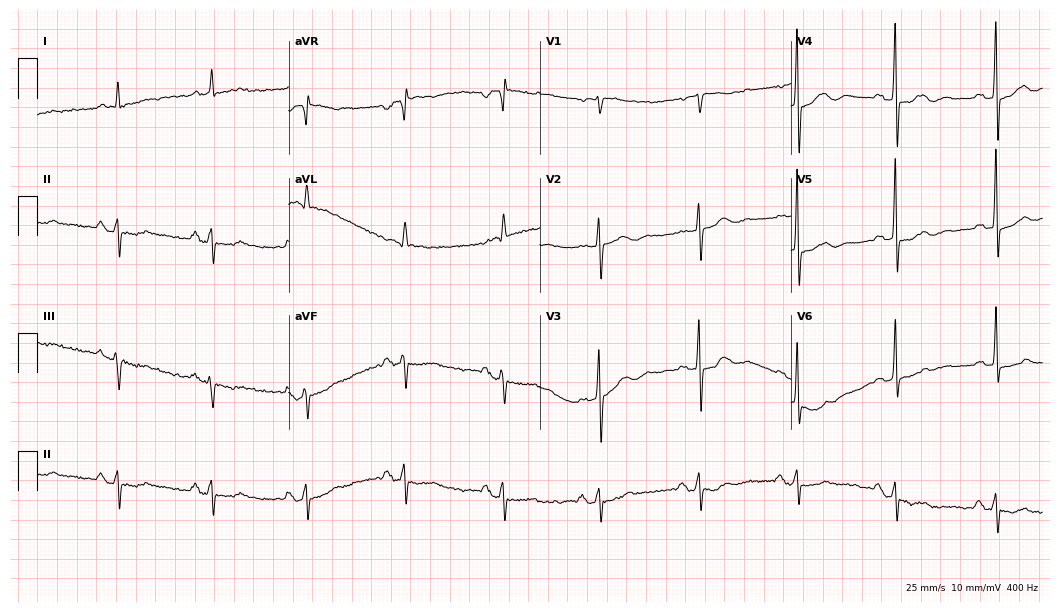
Resting 12-lead electrocardiogram (10.2-second recording at 400 Hz). Patient: a male, 83 years old. None of these six findings is recorded: first-degree AV block, right bundle branch block, left bundle branch block, sinus bradycardia, atrial fibrillation, sinus tachycardia. Only these six findings were labelled.